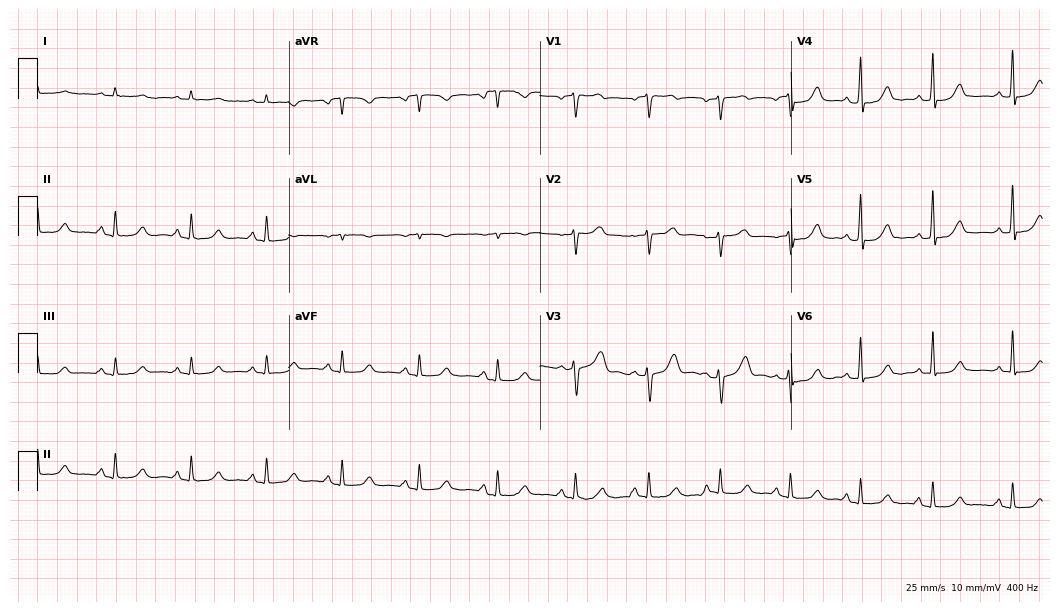
Standard 12-lead ECG recorded from a female patient, 54 years old. None of these six findings is recorded: first-degree AV block, right bundle branch block (RBBB), left bundle branch block (LBBB), sinus bradycardia, atrial fibrillation (AF), sinus tachycardia.